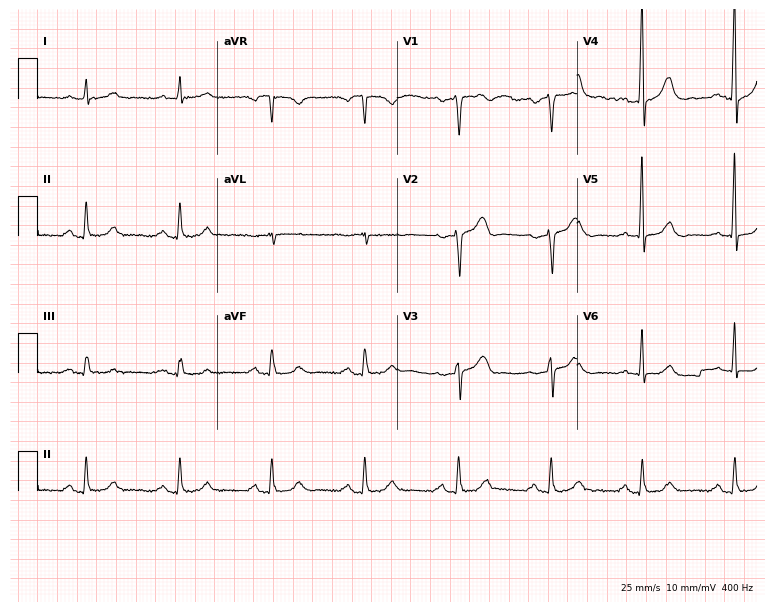
ECG — a 67-year-old male patient. Screened for six findings — first-degree AV block, right bundle branch block, left bundle branch block, sinus bradycardia, atrial fibrillation, sinus tachycardia — none is recorded. Only these six findings were labelled.